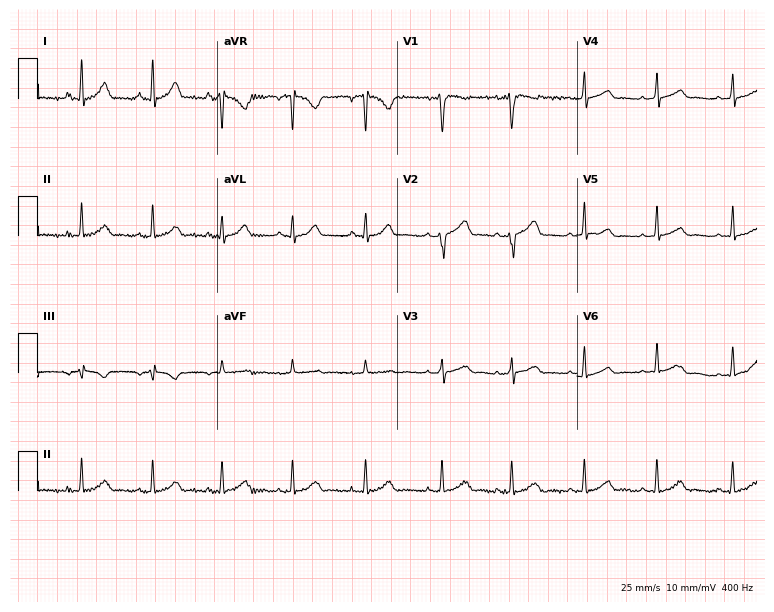
Resting 12-lead electrocardiogram. Patient: a female, 39 years old. Read as a normal ECG.